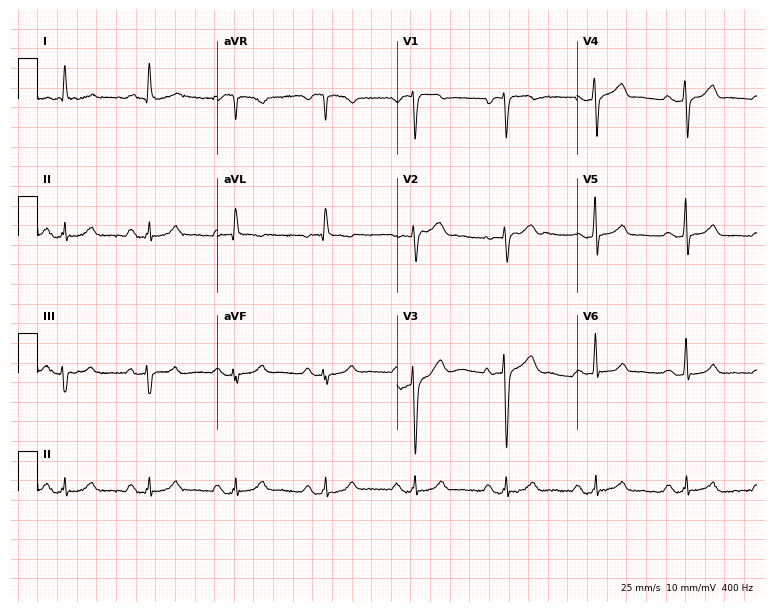
Standard 12-lead ECG recorded from a male, 74 years old. None of these six findings is recorded: first-degree AV block, right bundle branch block, left bundle branch block, sinus bradycardia, atrial fibrillation, sinus tachycardia. Findings outside these six are not listed.